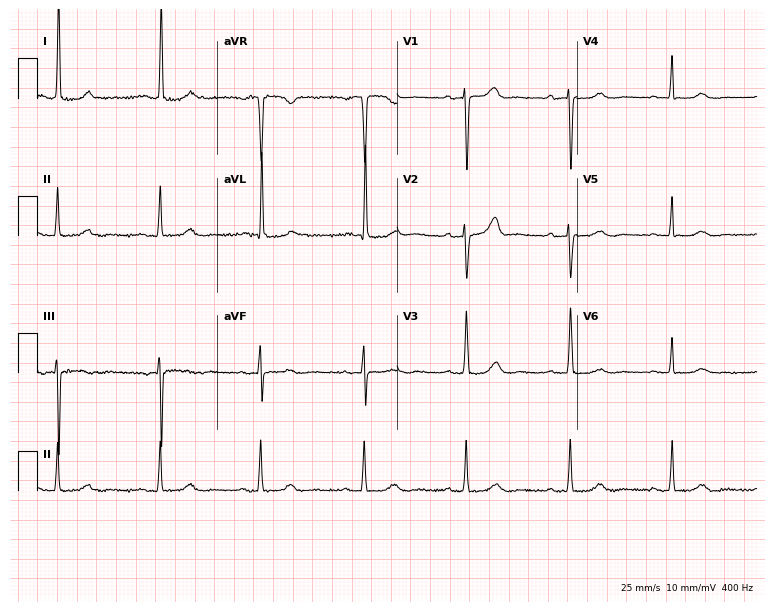
Resting 12-lead electrocardiogram. Patient: a female, 85 years old. Read as a normal ECG.